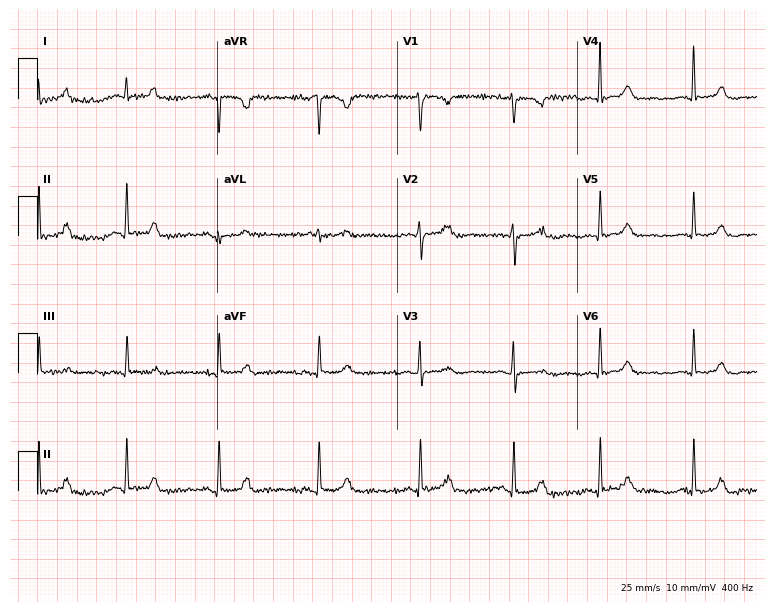
ECG — a 45-year-old woman. Labelled as a normal ECG.